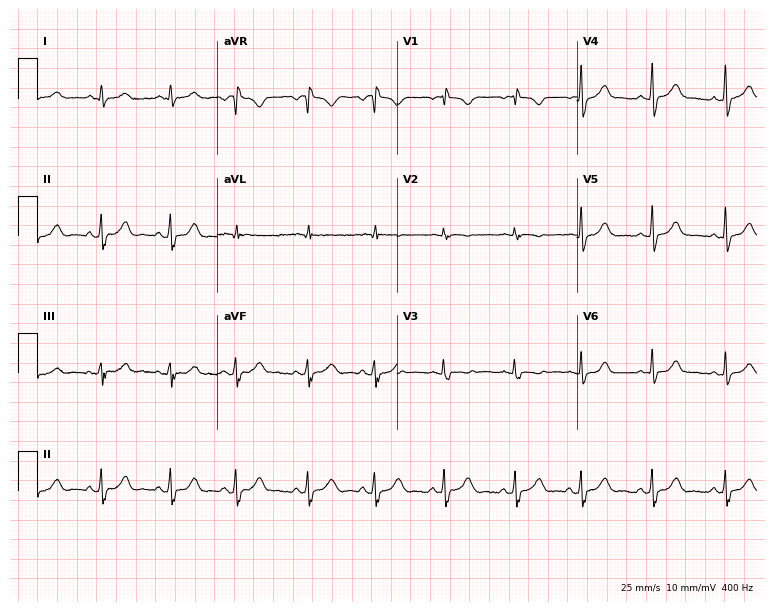
ECG — a 17-year-old woman. Screened for six findings — first-degree AV block, right bundle branch block, left bundle branch block, sinus bradycardia, atrial fibrillation, sinus tachycardia — none is recorded. Other findings, if any, are not listed.